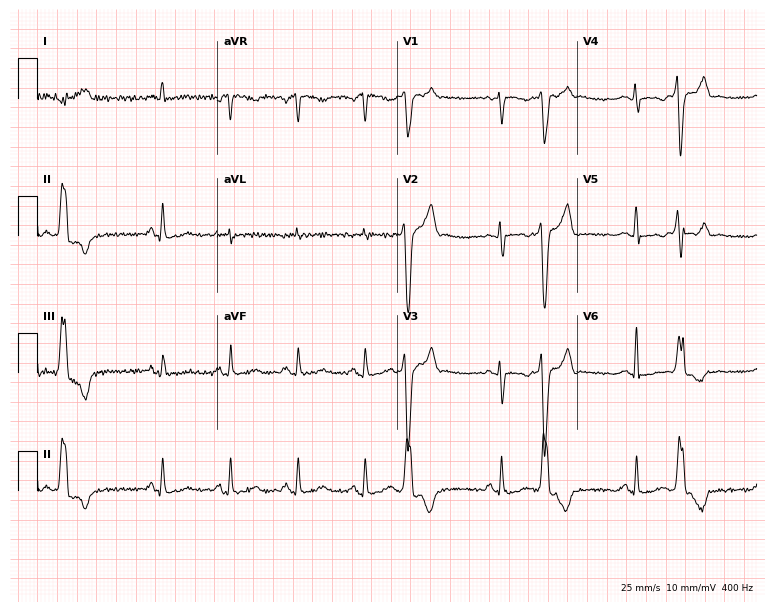
Standard 12-lead ECG recorded from a female patient, 40 years old (7.3-second recording at 400 Hz). None of these six findings is recorded: first-degree AV block, right bundle branch block, left bundle branch block, sinus bradycardia, atrial fibrillation, sinus tachycardia. Only these six findings were labelled.